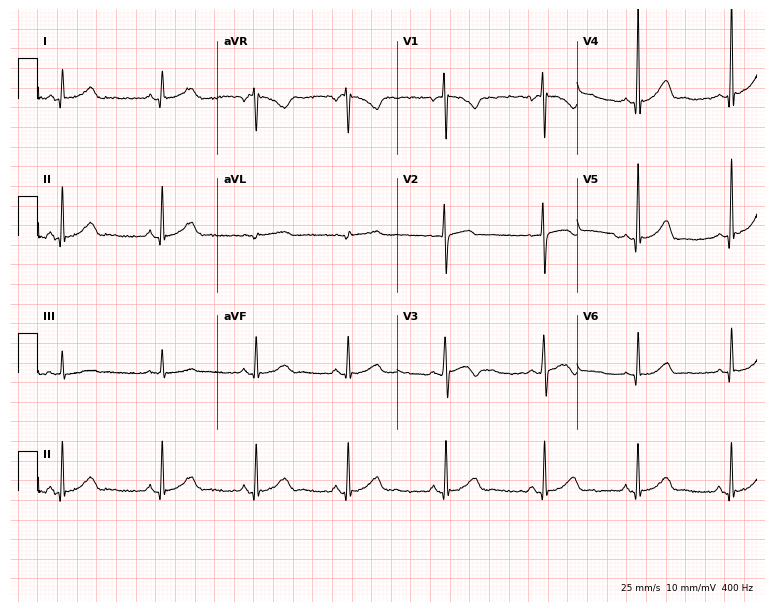
12-lead ECG from a woman, 24 years old. Recorded interpretation: within normal limits.